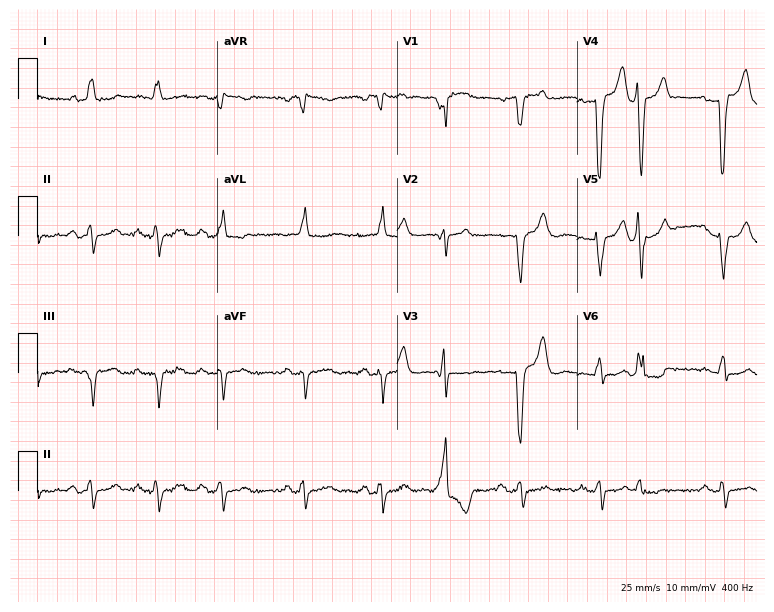
Resting 12-lead electrocardiogram. Patient: a 77-year-old man. None of these six findings is recorded: first-degree AV block, right bundle branch block (RBBB), left bundle branch block (LBBB), sinus bradycardia, atrial fibrillation (AF), sinus tachycardia.